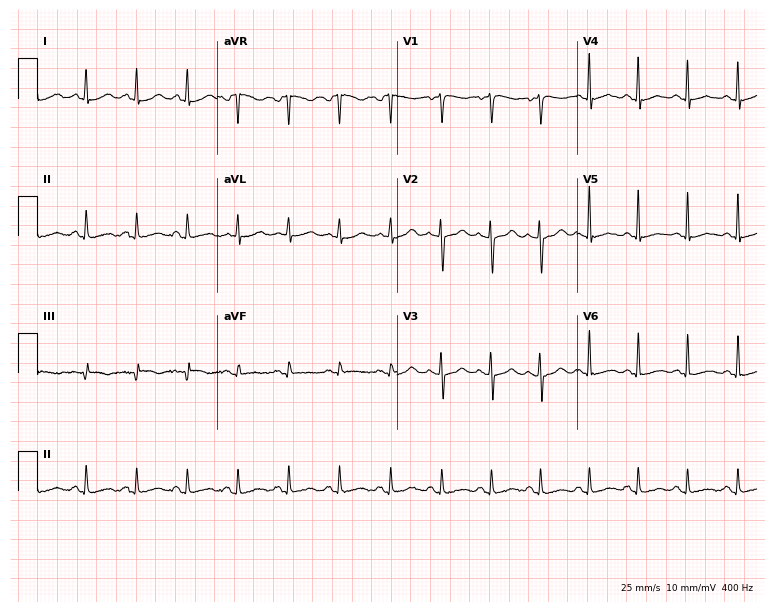
ECG — a 41-year-old female patient. Findings include sinus tachycardia (a sinus rate of 100 beats per minute or more).